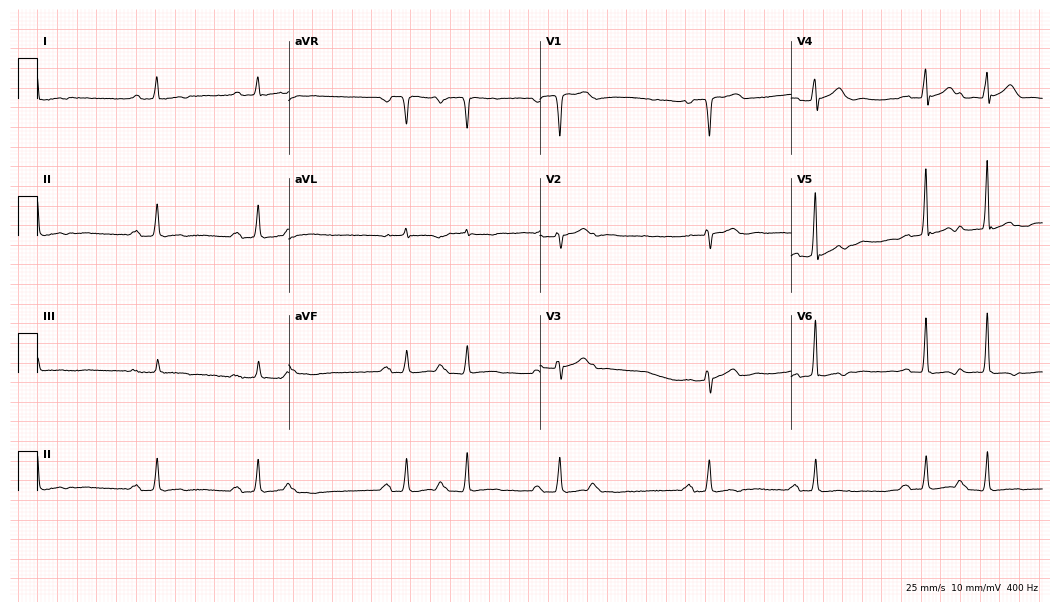
ECG — a male, 72 years old. Findings include first-degree AV block.